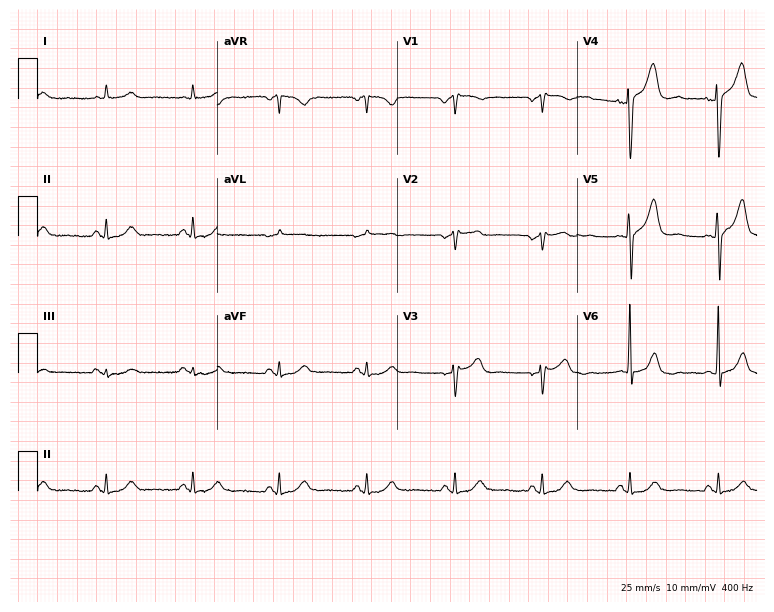
12-lead ECG from a man, 67 years old. No first-degree AV block, right bundle branch block (RBBB), left bundle branch block (LBBB), sinus bradycardia, atrial fibrillation (AF) or sinus tachycardia recorded for this tracing.